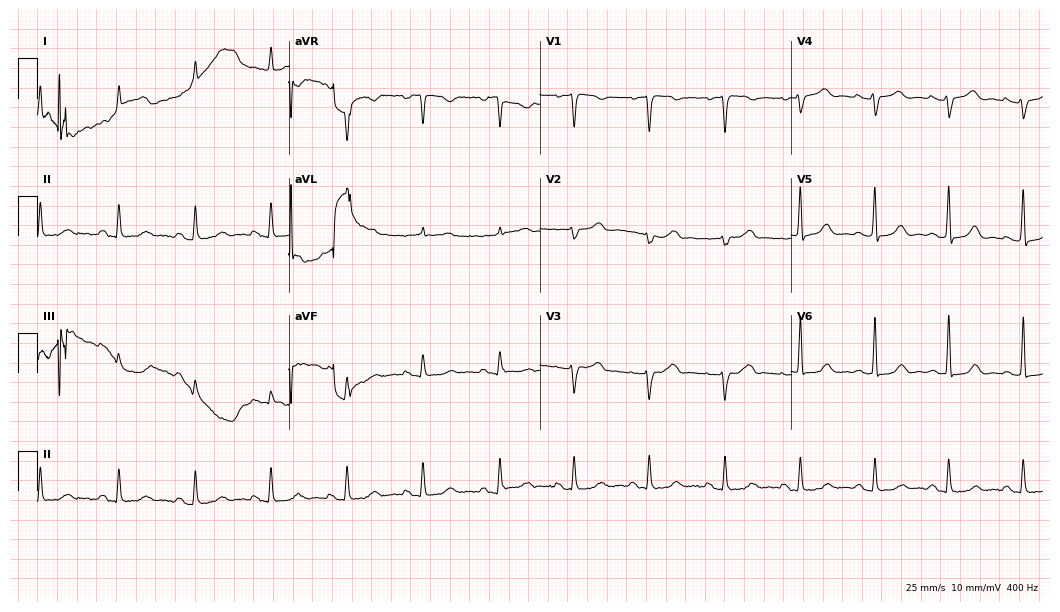
Electrocardiogram, a female, 69 years old. Of the six screened findings (first-degree AV block, right bundle branch block (RBBB), left bundle branch block (LBBB), sinus bradycardia, atrial fibrillation (AF), sinus tachycardia), none is recorded.